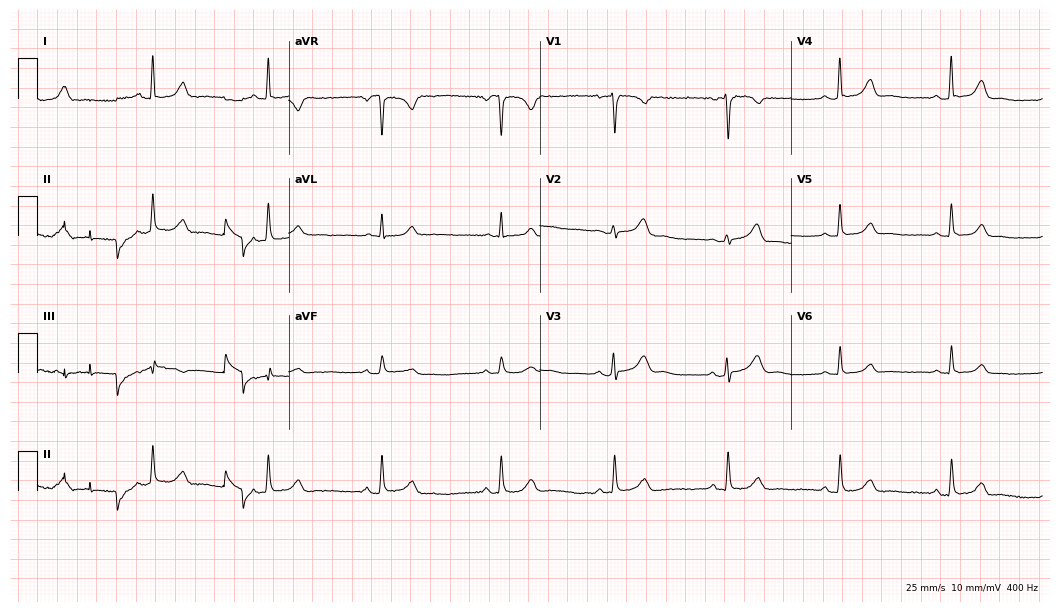
ECG — a woman, 55 years old. Screened for six findings — first-degree AV block, right bundle branch block, left bundle branch block, sinus bradycardia, atrial fibrillation, sinus tachycardia — none is recorded.